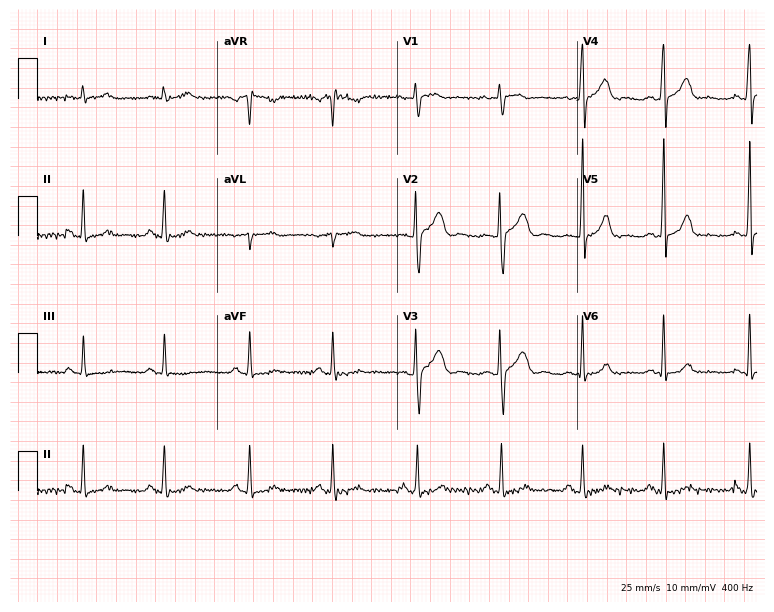
Electrocardiogram (7.3-second recording at 400 Hz), a woman, 24 years old. Of the six screened findings (first-degree AV block, right bundle branch block (RBBB), left bundle branch block (LBBB), sinus bradycardia, atrial fibrillation (AF), sinus tachycardia), none is recorded. Other findings, if any, are not listed.